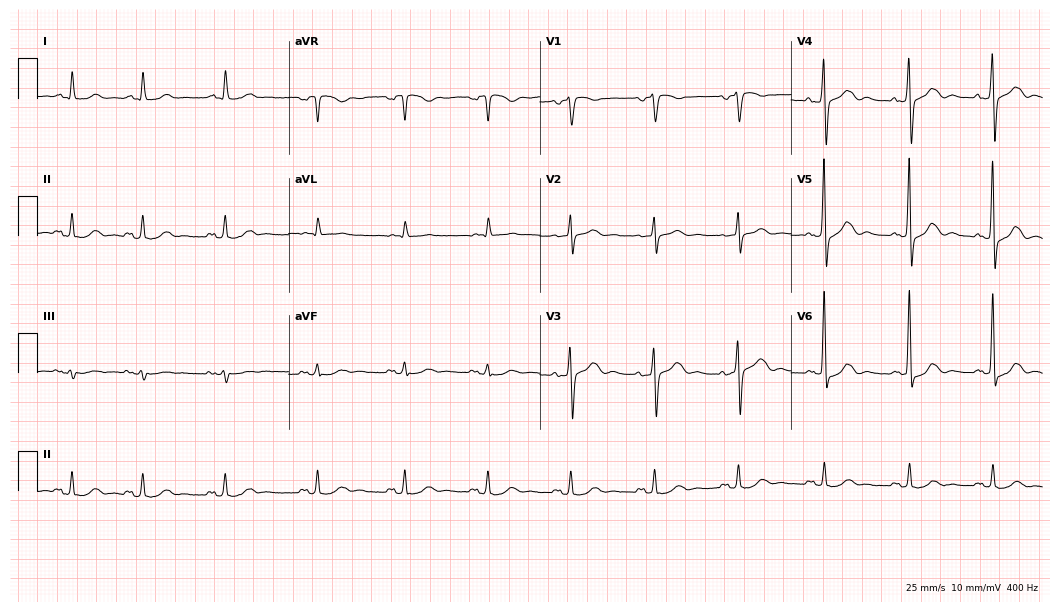
ECG (10.2-second recording at 400 Hz) — a male patient, 81 years old. Labelled as a normal ECG.